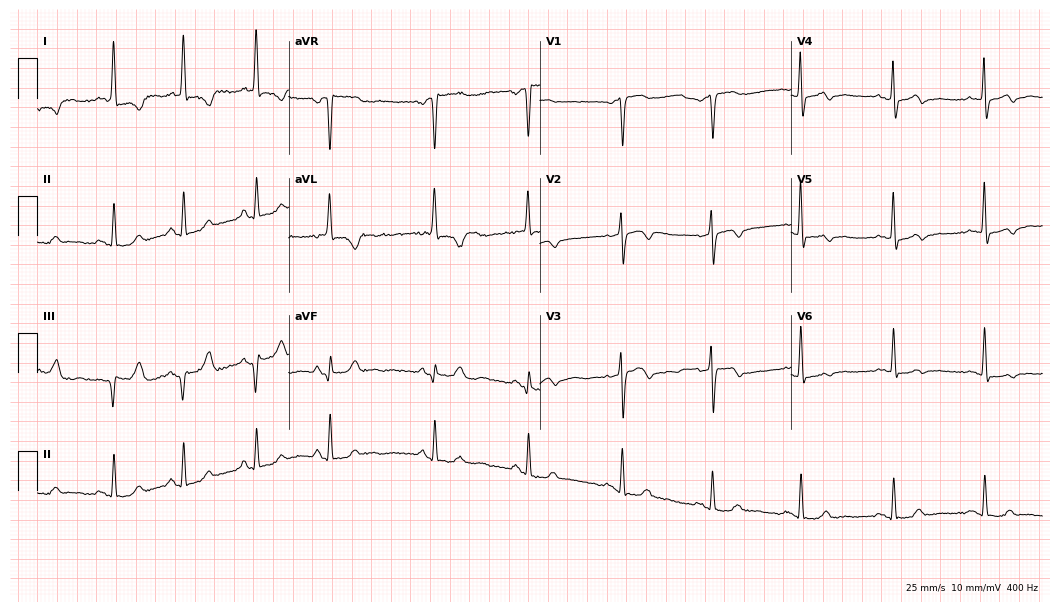
Standard 12-lead ECG recorded from an 84-year-old woman. None of these six findings is recorded: first-degree AV block, right bundle branch block, left bundle branch block, sinus bradycardia, atrial fibrillation, sinus tachycardia. Other findings, if any, are not listed.